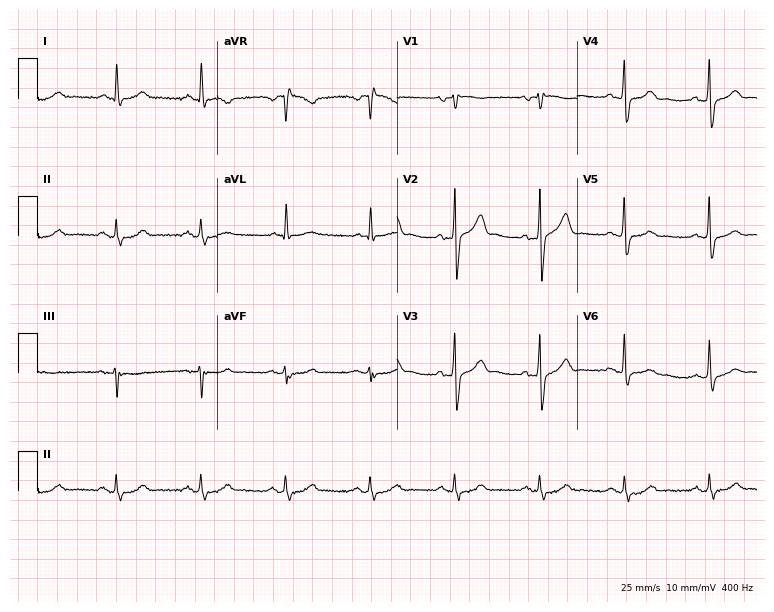
Resting 12-lead electrocardiogram. Patient: a 66-year-old male. Read as a normal ECG.